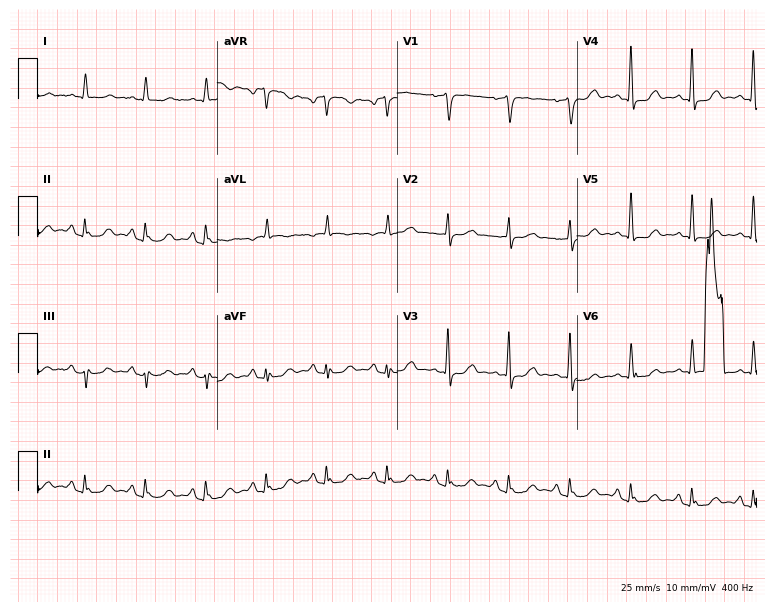
Electrocardiogram (7.3-second recording at 400 Hz), a 75-year-old male patient. Of the six screened findings (first-degree AV block, right bundle branch block, left bundle branch block, sinus bradycardia, atrial fibrillation, sinus tachycardia), none is recorded.